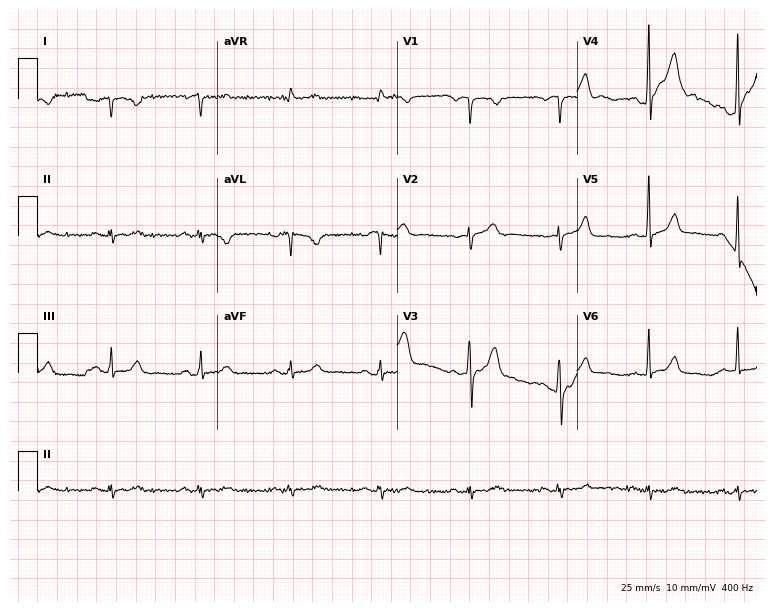
Resting 12-lead electrocardiogram. Patient: a 59-year-old male. None of these six findings is recorded: first-degree AV block, right bundle branch block, left bundle branch block, sinus bradycardia, atrial fibrillation, sinus tachycardia. Only these six findings were labelled.